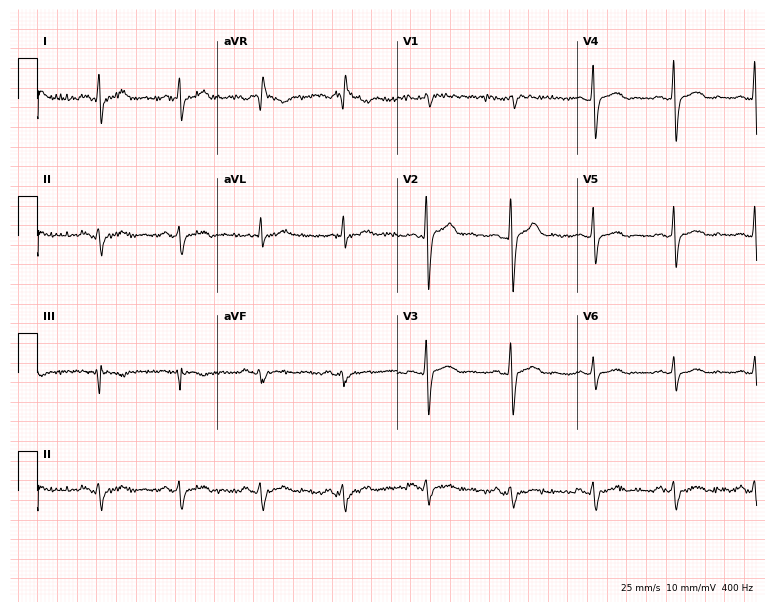
12-lead ECG from a male, 34 years old (7.3-second recording at 400 Hz). Recorded interpretation: within normal limits.